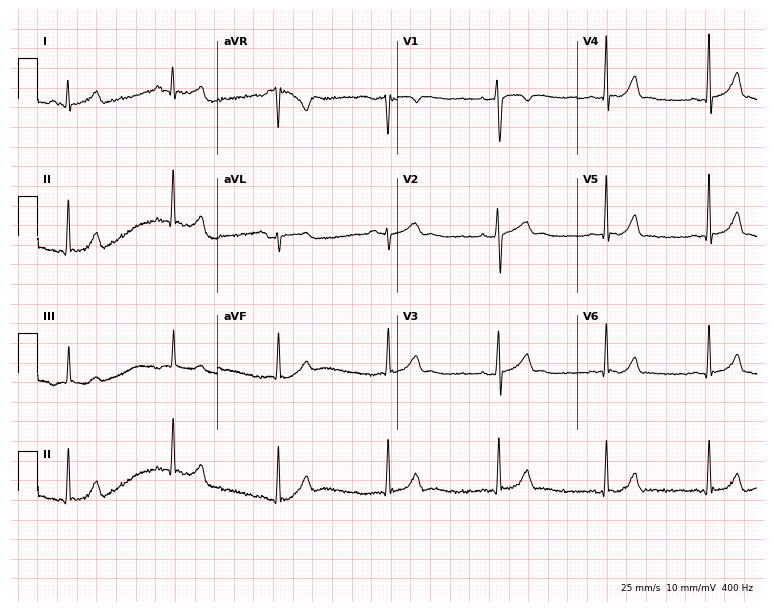
ECG — a 21-year-old woman. Screened for six findings — first-degree AV block, right bundle branch block, left bundle branch block, sinus bradycardia, atrial fibrillation, sinus tachycardia — none is recorded. Only these six findings were labelled.